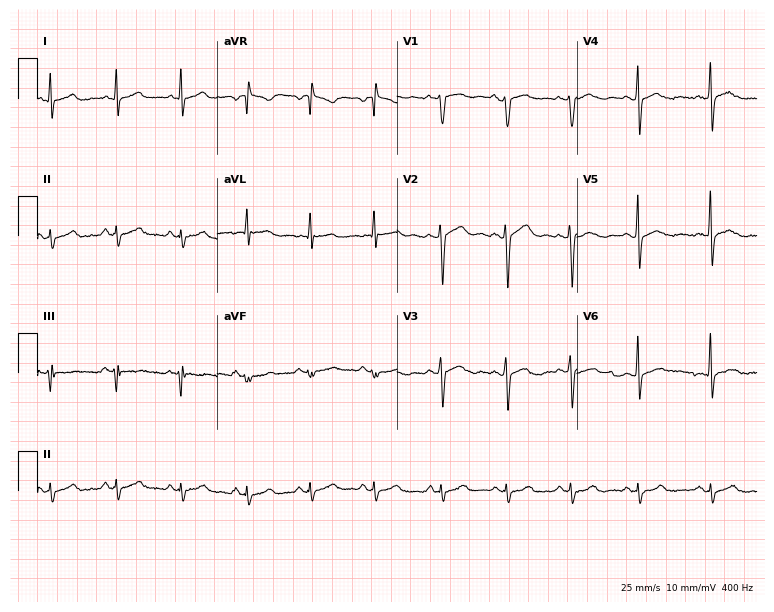
Standard 12-lead ECG recorded from a male patient, 43 years old (7.3-second recording at 400 Hz). None of these six findings is recorded: first-degree AV block, right bundle branch block, left bundle branch block, sinus bradycardia, atrial fibrillation, sinus tachycardia.